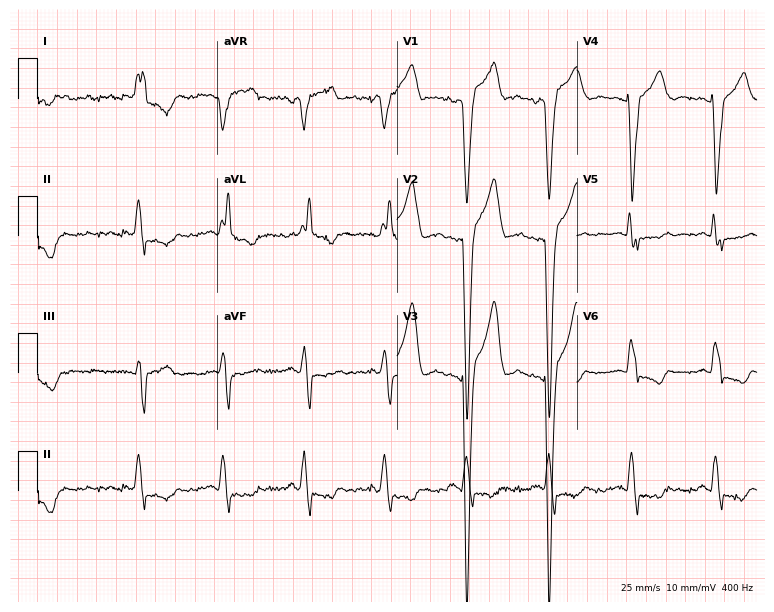
12-lead ECG (7.3-second recording at 400 Hz) from an 82-year-old woman. Findings include left bundle branch block.